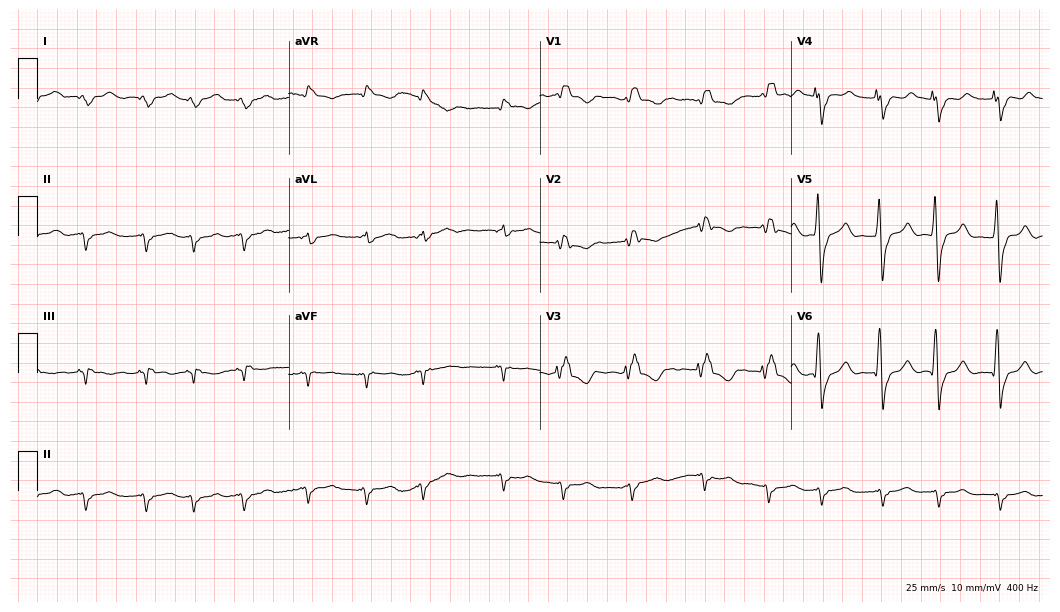
12-lead ECG from a woman, 69 years old (10.2-second recording at 400 Hz). Shows right bundle branch block (RBBB), atrial fibrillation (AF).